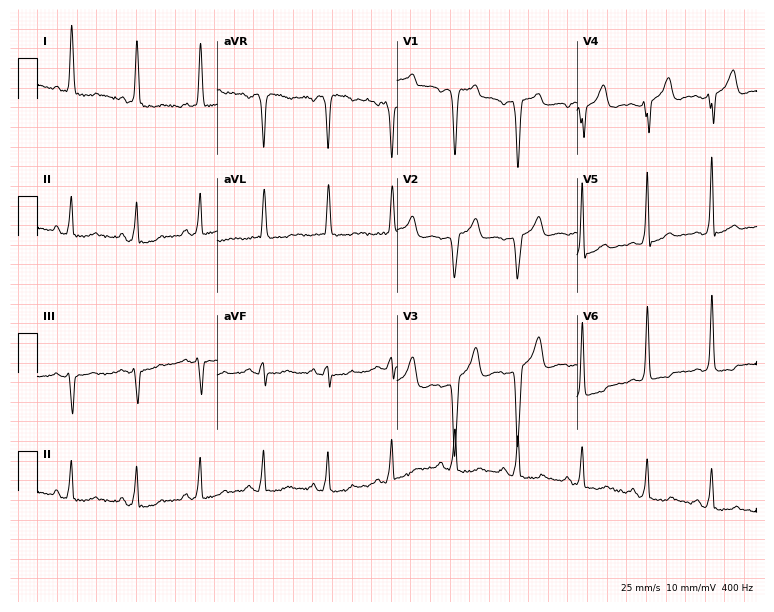
12-lead ECG from a female, 51 years old. No first-degree AV block, right bundle branch block, left bundle branch block, sinus bradycardia, atrial fibrillation or sinus tachycardia recorded for this tracing. Only these six findings were labelled.